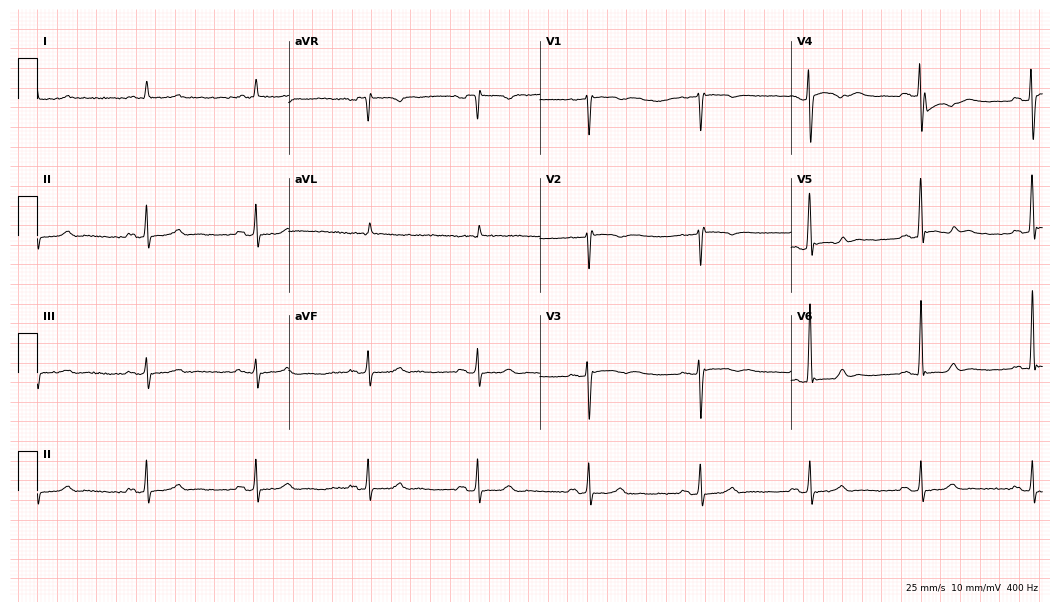
Electrocardiogram, a man, 70 years old. Of the six screened findings (first-degree AV block, right bundle branch block, left bundle branch block, sinus bradycardia, atrial fibrillation, sinus tachycardia), none is recorded. Only these six findings were labelled.